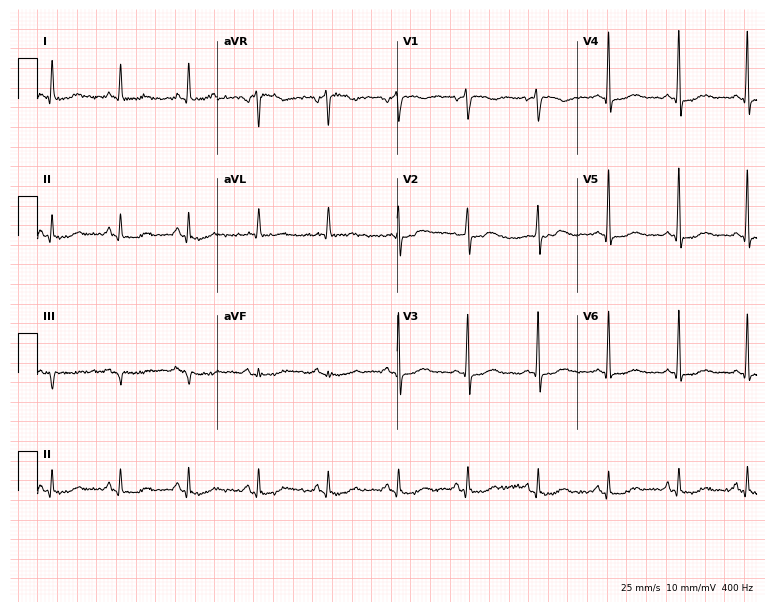
Resting 12-lead electrocardiogram (7.3-second recording at 400 Hz). Patient: a 57-year-old woman. None of these six findings is recorded: first-degree AV block, right bundle branch block (RBBB), left bundle branch block (LBBB), sinus bradycardia, atrial fibrillation (AF), sinus tachycardia.